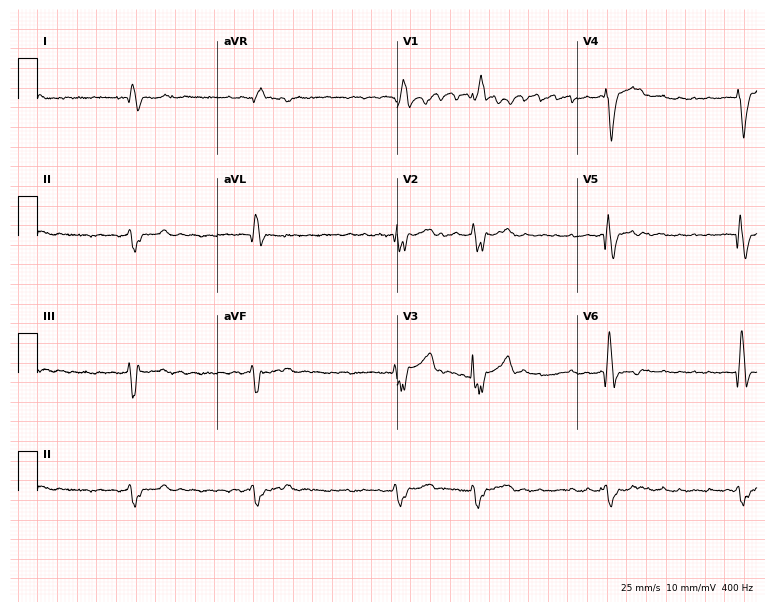
Standard 12-lead ECG recorded from a 58-year-old male (7.3-second recording at 400 Hz). The tracing shows right bundle branch block (RBBB), atrial fibrillation (AF).